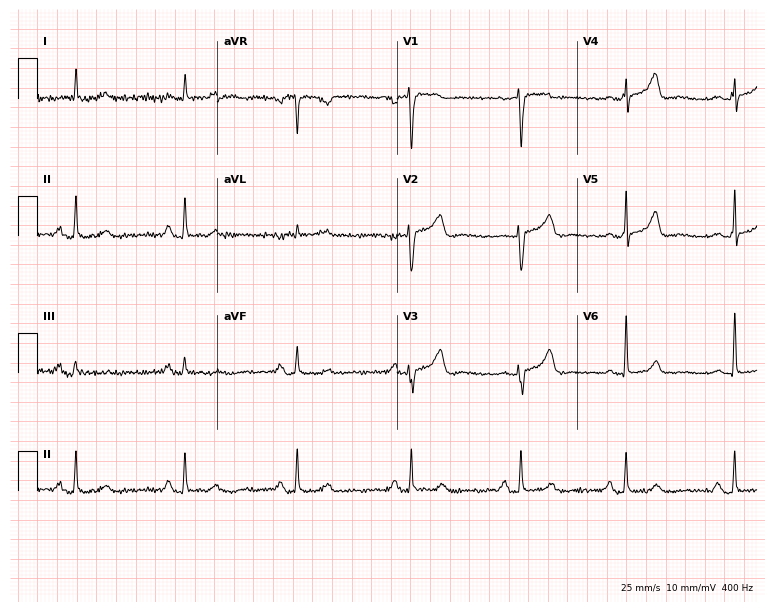
ECG (7.3-second recording at 400 Hz) — a female patient, 62 years old. Screened for six findings — first-degree AV block, right bundle branch block (RBBB), left bundle branch block (LBBB), sinus bradycardia, atrial fibrillation (AF), sinus tachycardia — none is recorded.